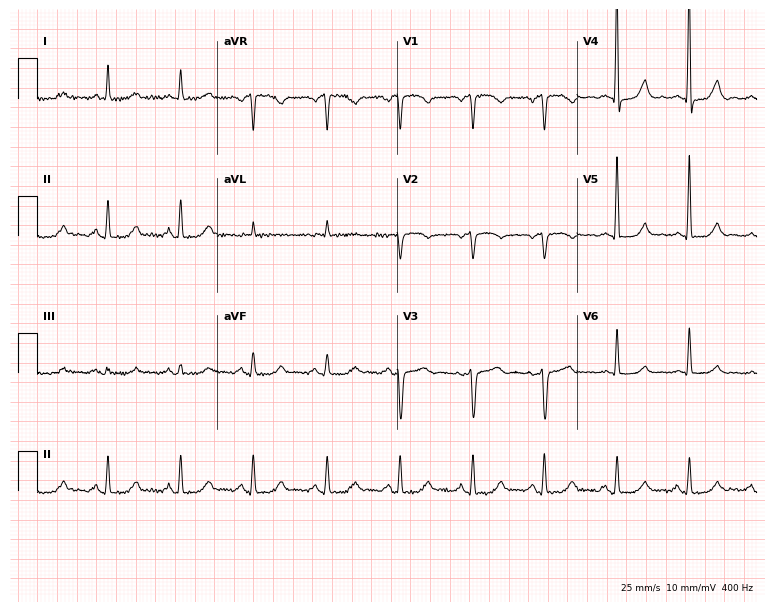
Resting 12-lead electrocardiogram. Patient: a female, 58 years old. Read as a normal ECG.